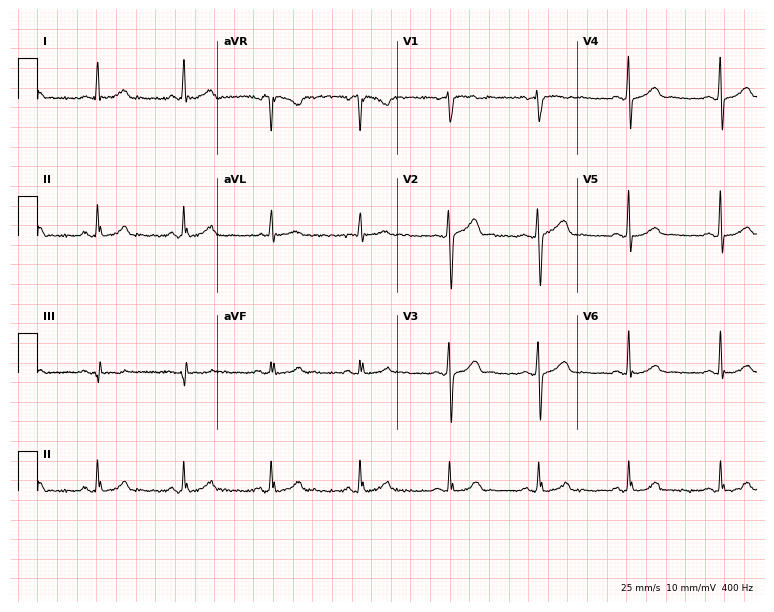
12-lead ECG from a 59-year-old male patient (7.3-second recording at 400 Hz). Recorded interpretation: within normal limits.